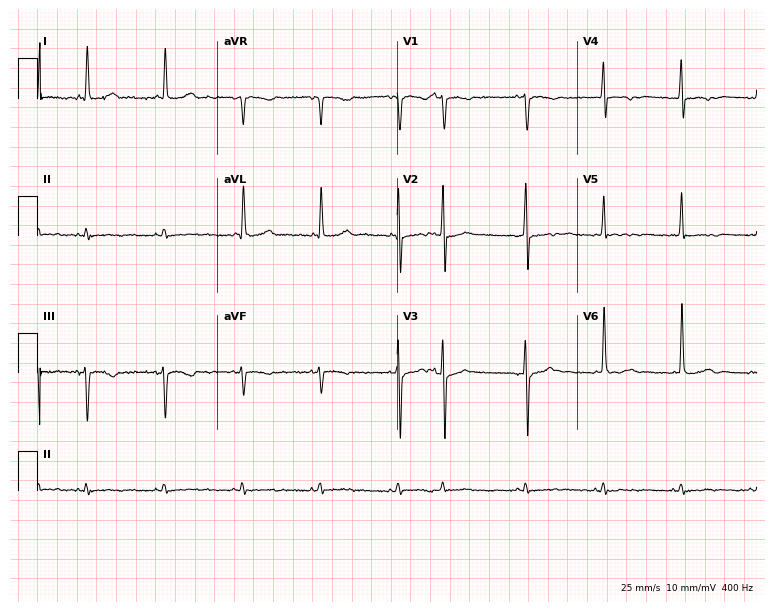
Electrocardiogram (7.3-second recording at 400 Hz), a 74-year-old male patient. Of the six screened findings (first-degree AV block, right bundle branch block (RBBB), left bundle branch block (LBBB), sinus bradycardia, atrial fibrillation (AF), sinus tachycardia), none is recorded.